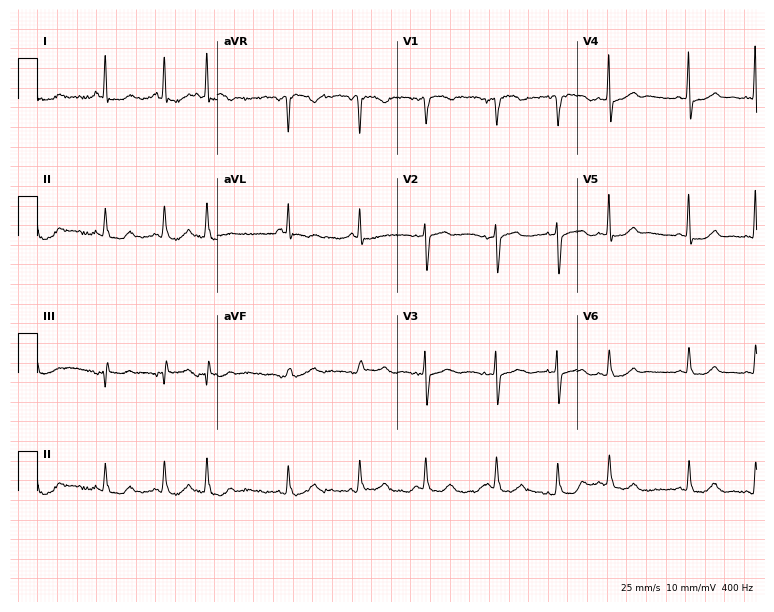
12-lead ECG from a female, 83 years old (7.3-second recording at 400 Hz). No first-degree AV block, right bundle branch block, left bundle branch block, sinus bradycardia, atrial fibrillation or sinus tachycardia recorded for this tracing. Other findings, if any, are not listed.